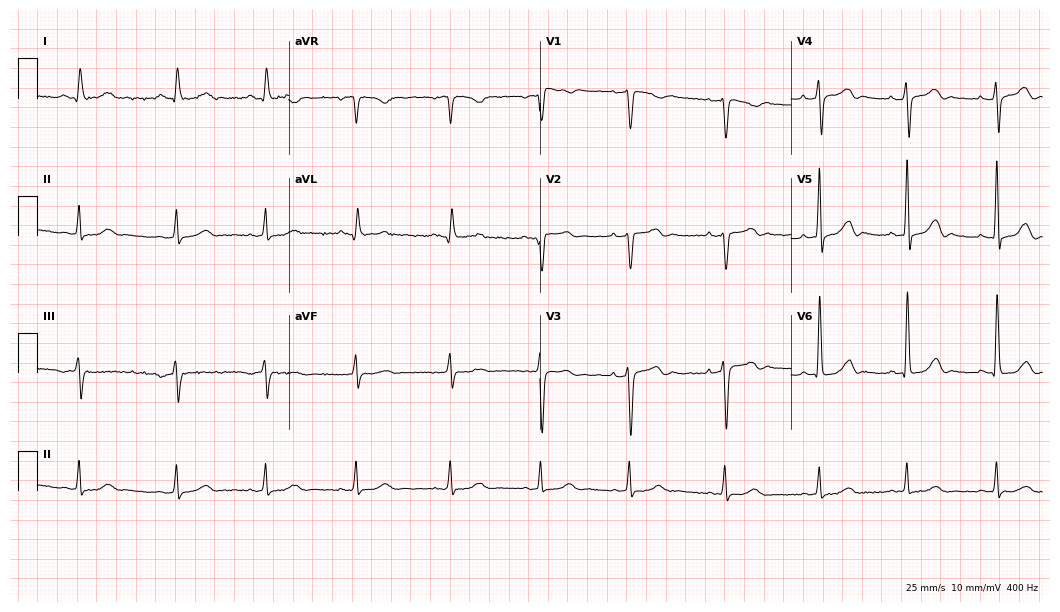
ECG — a 63-year-old man. Screened for six findings — first-degree AV block, right bundle branch block (RBBB), left bundle branch block (LBBB), sinus bradycardia, atrial fibrillation (AF), sinus tachycardia — none is recorded. Other findings, if any, are not listed.